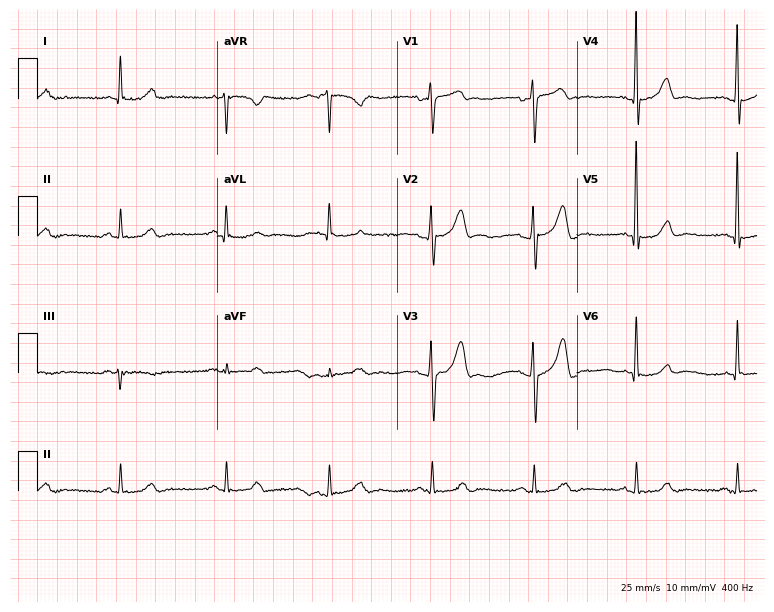
ECG — a 62-year-old man. Labelled as a normal ECG.